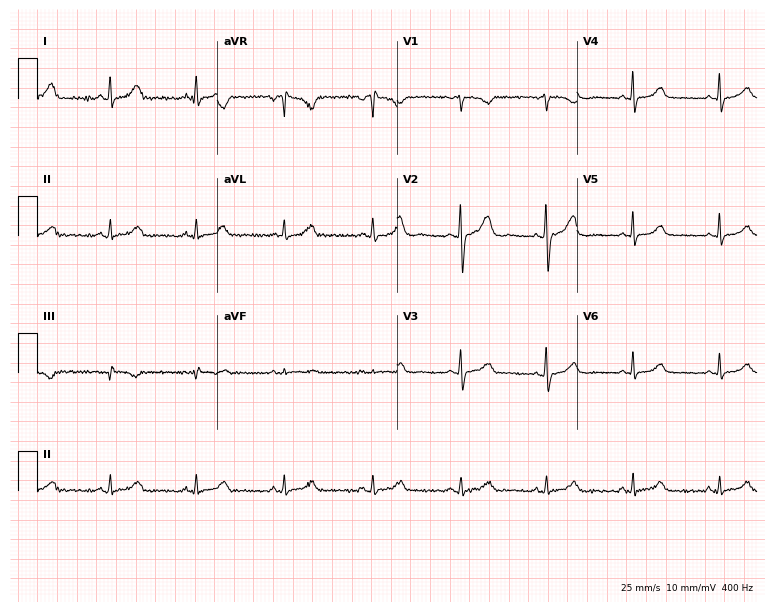
ECG — a female, 43 years old. Labelled as a normal ECG.